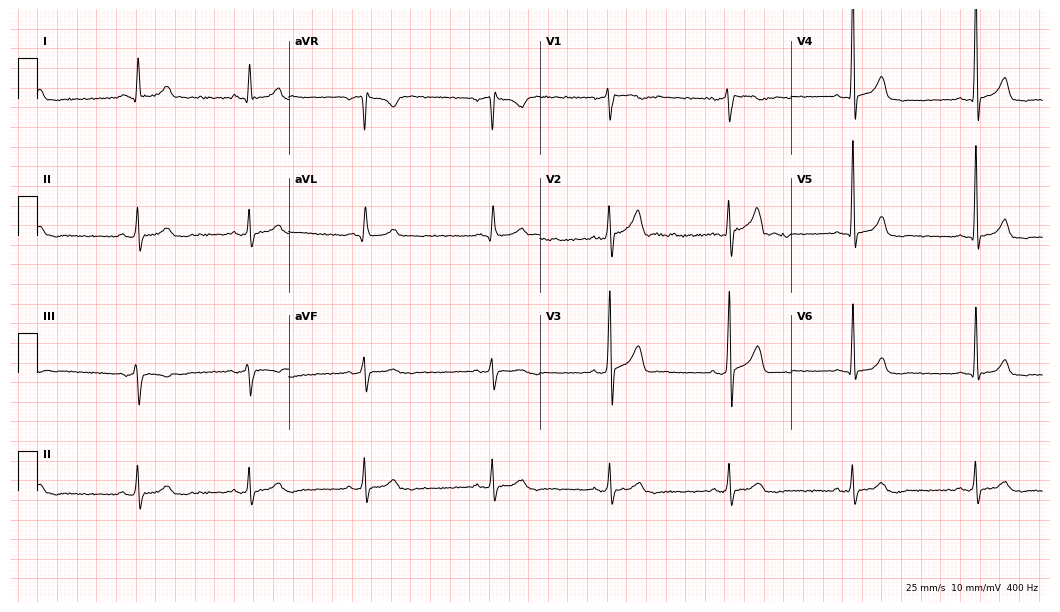
Standard 12-lead ECG recorded from a male patient, 51 years old (10.2-second recording at 400 Hz). The tracing shows sinus bradycardia (a sinus rate of 50 beats per minute or less).